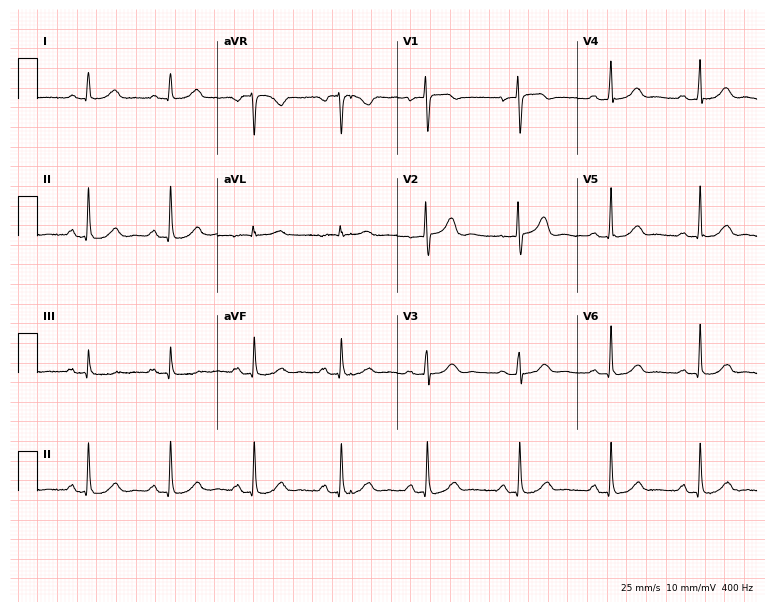
Resting 12-lead electrocardiogram. Patient: a 63-year-old female. Read as a normal ECG.